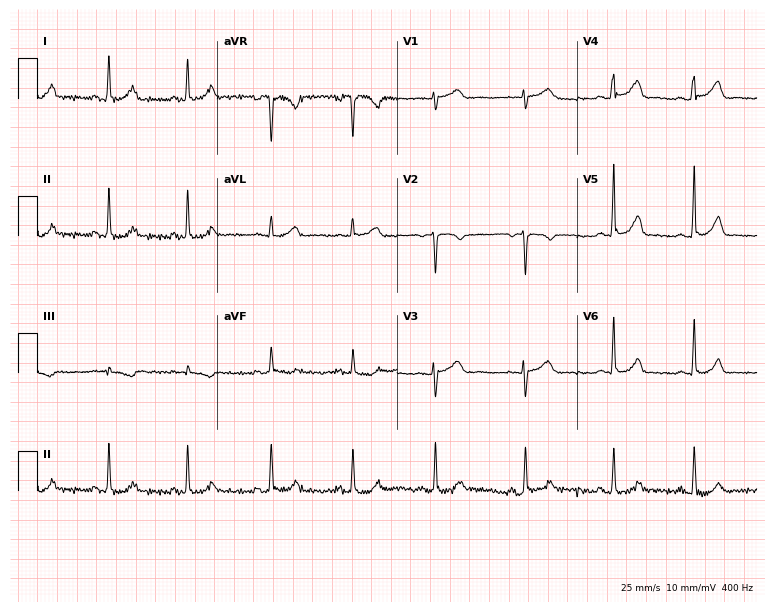
ECG (7.3-second recording at 400 Hz) — a 38-year-old male. Labelled as a normal ECG.